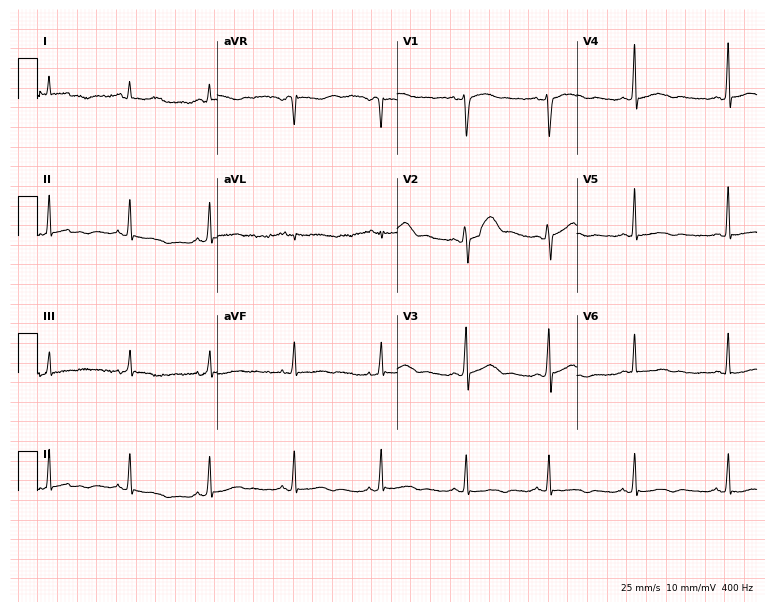
Electrocardiogram (7.3-second recording at 400 Hz), a man, 33 years old. Of the six screened findings (first-degree AV block, right bundle branch block, left bundle branch block, sinus bradycardia, atrial fibrillation, sinus tachycardia), none is recorded. Other findings, if any, are not listed.